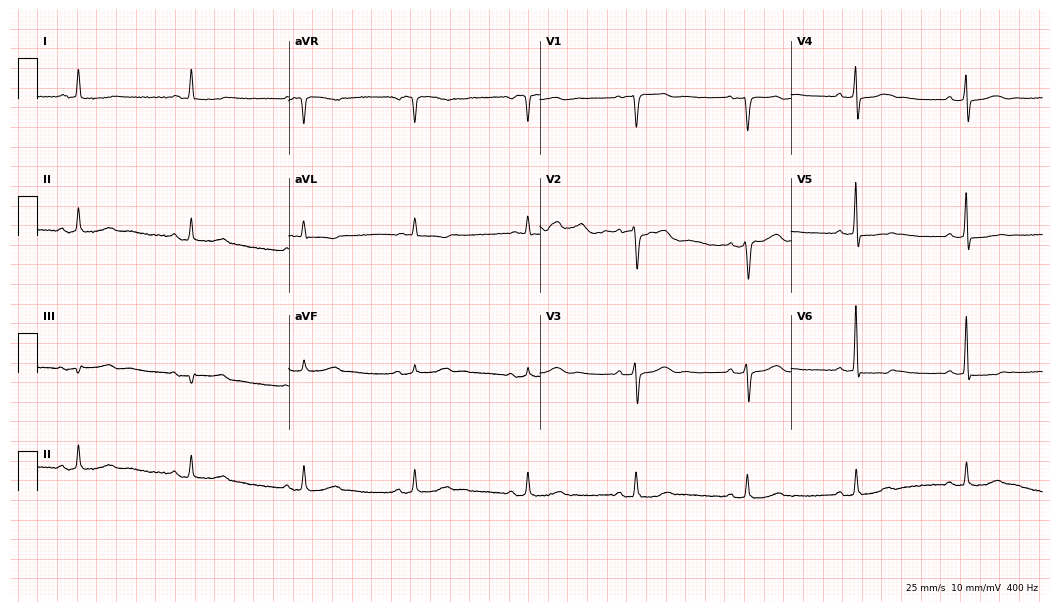
Electrocardiogram (10.2-second recording at 400 Hz), an 80-year-old female. Of the six screened findings (first-degree AV block, right bundle branch block (RBBB), left bundle branch block (LBBB), sinus bradycardia, atrial fibrillation (AF), sinus tachycardia), none is recorded.